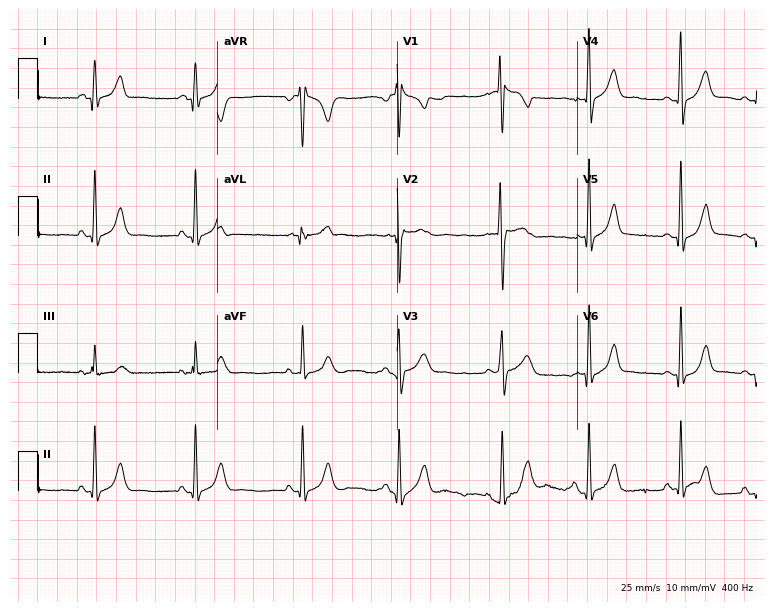
ECG — a woman, 23 years old. Screened for six findings — first-degree AV block, right bundle branch block, left bundle branch block, sinus bradycardia, atrial fibrillation, sinus tachycardia — none is recorded.